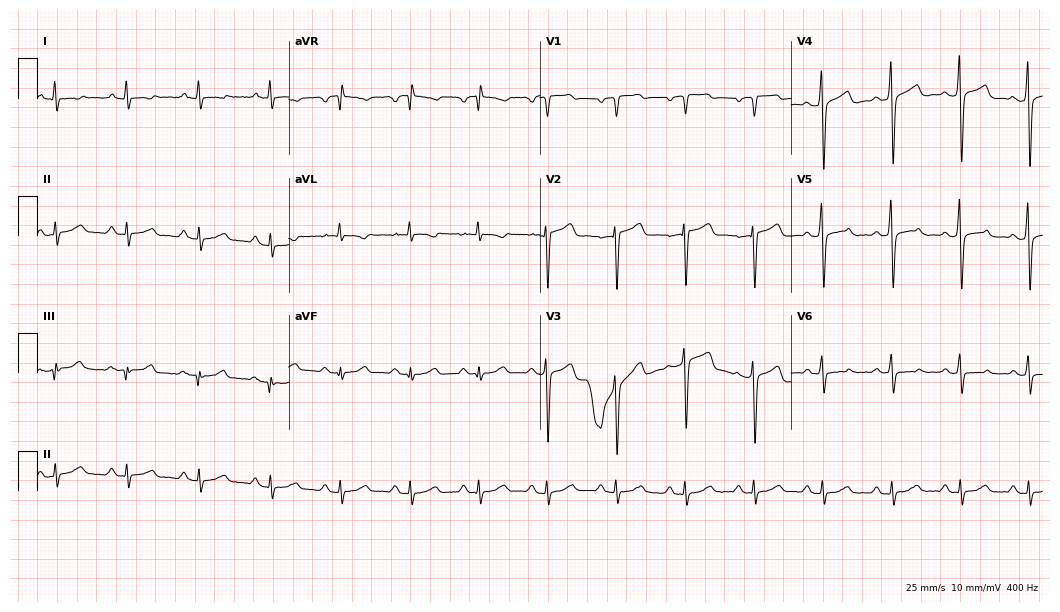
12-lead ECG from a 55-year-old male. Screened for six findings — first-degree AV block, right bundle branch block, left bundle branch block, sinus bradycardia, atrial fibrillation, sinus tachycardia — none is recorded.